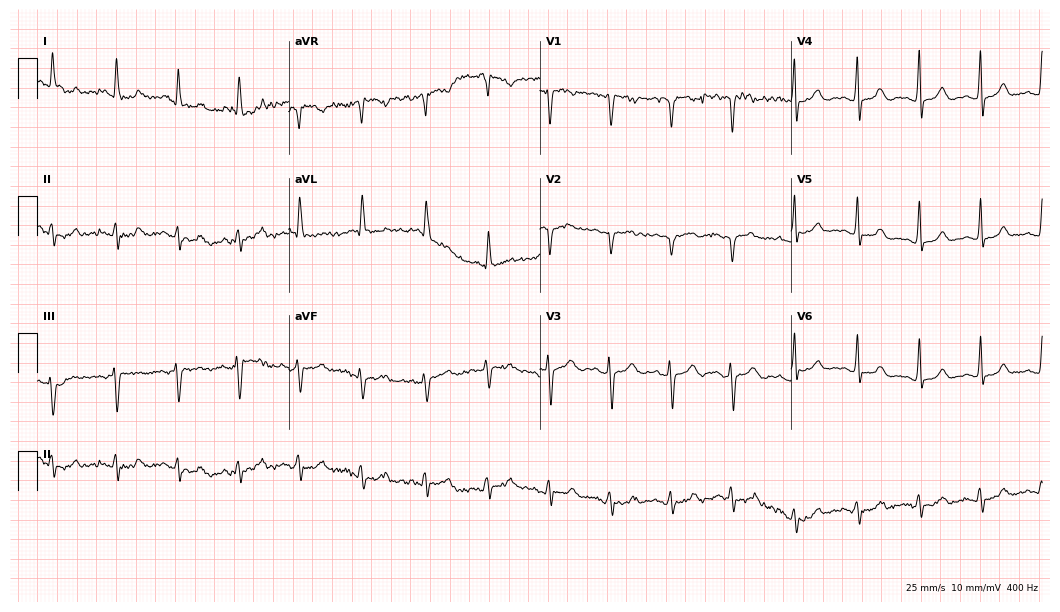
ECG — a 55-year-old female patient. Labelled as a normal ECG.